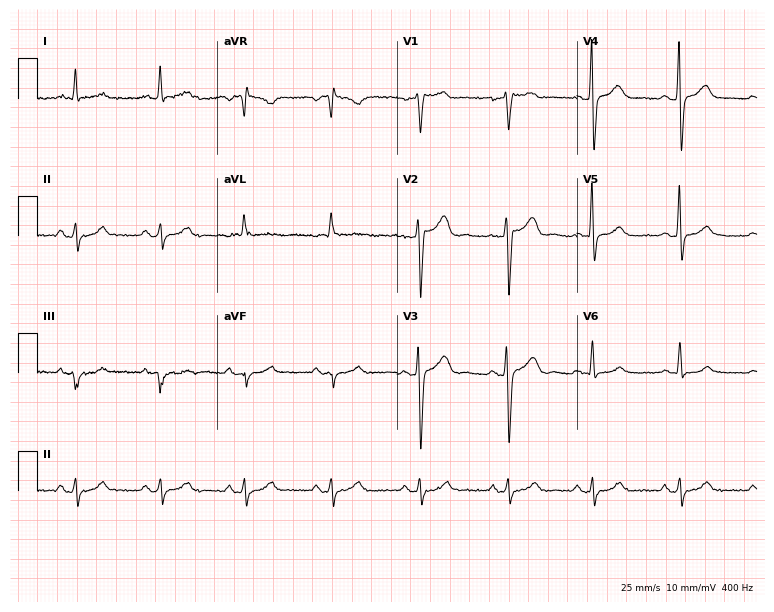
12-lead ECG from a man, 66 years old (7.3-second recording at 400 Hz). Recorded interpretation: within normal limits.